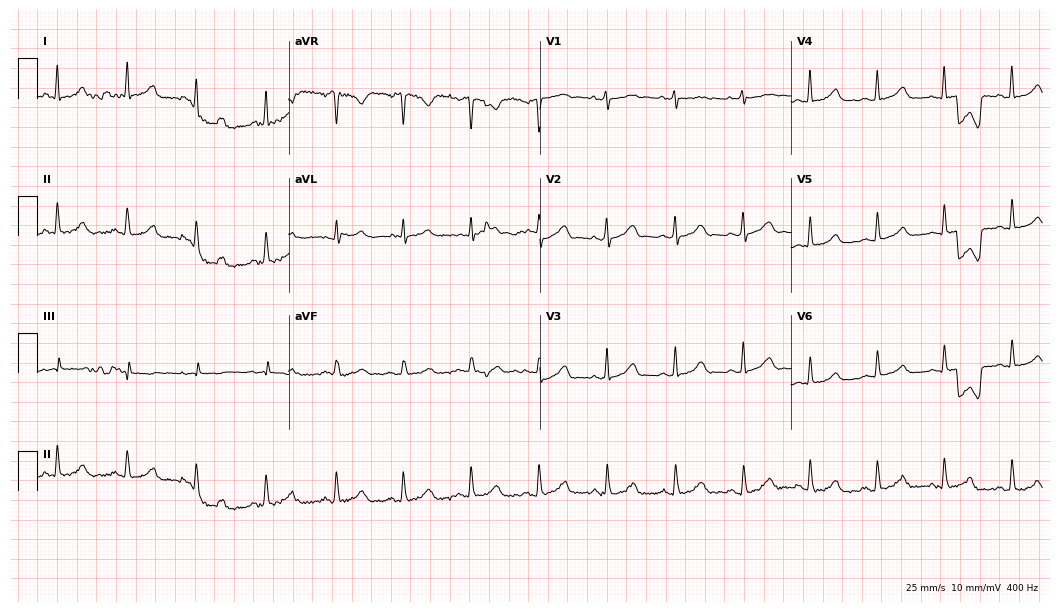
Electrocardiogram (10.2-second recording at 400 Hz), a 36-year-old woman. Of the six screened findings (first-degree AV block, right bundle branch block (RBBB), left bundle branch block (LBBB), sinus bradycardia, atrial fibrillation (AF), sinus tachycardia), none is recorded. Findings outside these six are not listed.